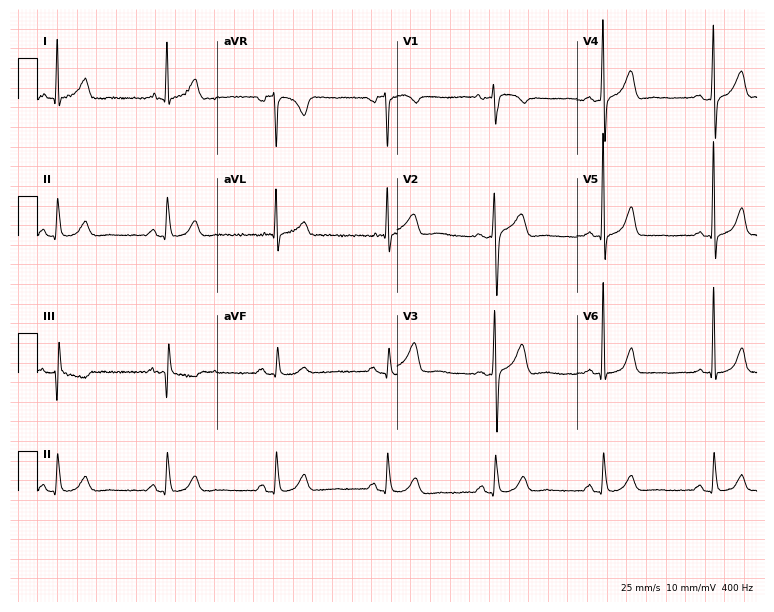
12-lead ECG (7.3-second recording at 400 Hz) from a 66-year-old man. Labelled as a normal ECG.